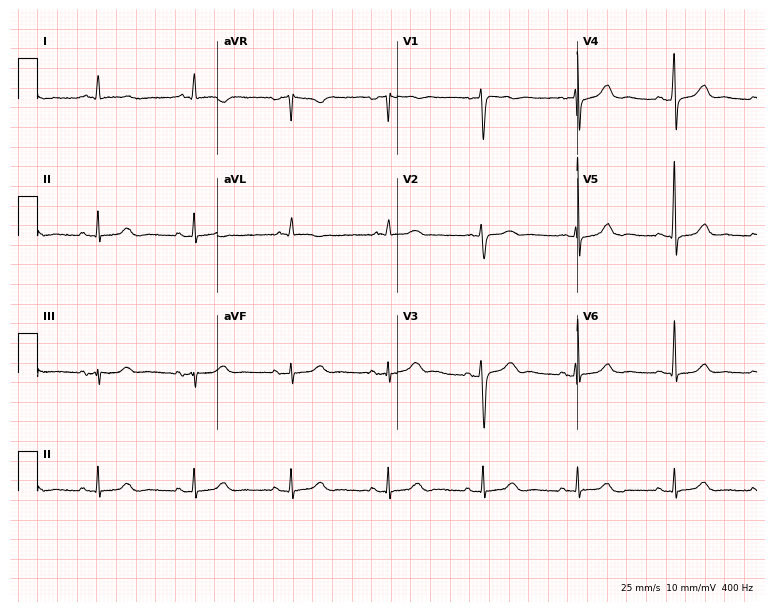
Standard 12-lead ECG recorded from a male, 70 years old. None of these six findings is recorded: first-degree AV block, right bundle branch block (RBBB), left bundle branch block (LBBB), sinus bradycardia, atrial fibrillation (AF), sinus tachycardia.